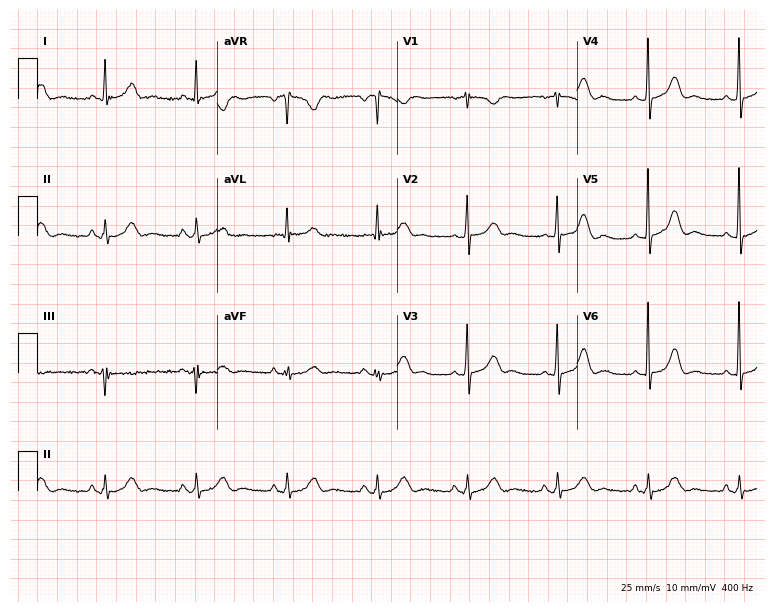
12-lead ECG from a 75-year-old female patient. Screened for six findings — first-degree AV block, right bundle branch block, left bundle branch block, sinus bradycardia, atrial fibrillation, sinus tachycardia — none is recorded. Other findings, if any, are not listed.